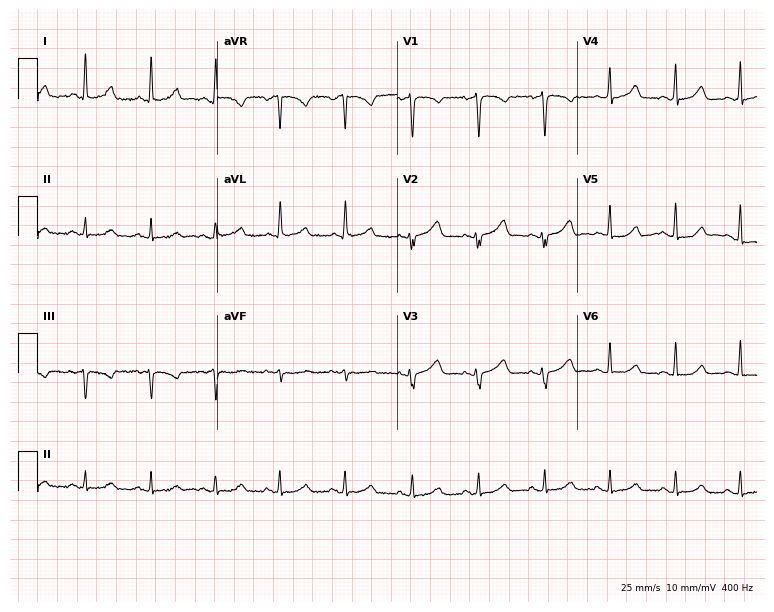
Resting 12-lead electrocardiogram. Patient: a 58-year-old female. Read as a normal ECG.